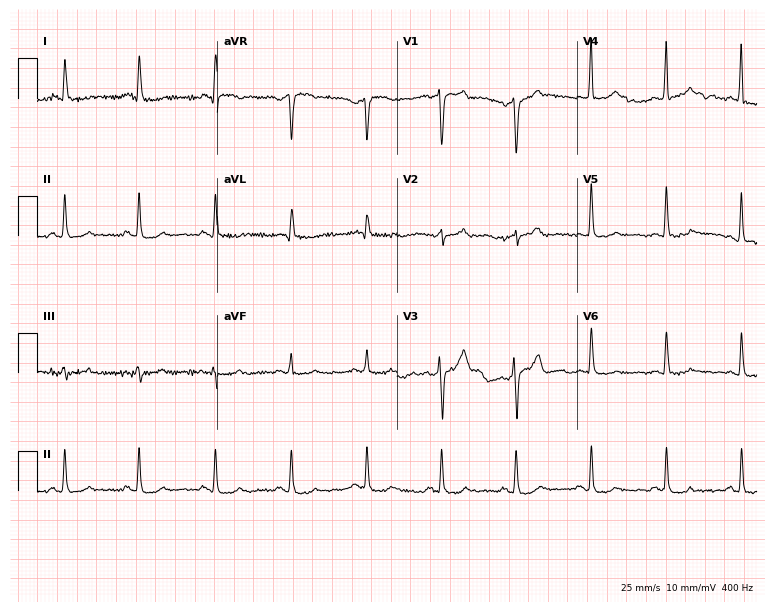
Electrocardiogram (7.3-second recording at 400 Hz), a 59-year-old man. Of the six screened findings (first-degree AV block, right bundle branch block (RBBB), left bundle branch block (LBBB), sinus bradycardia, atrial fibrillation (AF), sinus tachycardia), none is recorded.